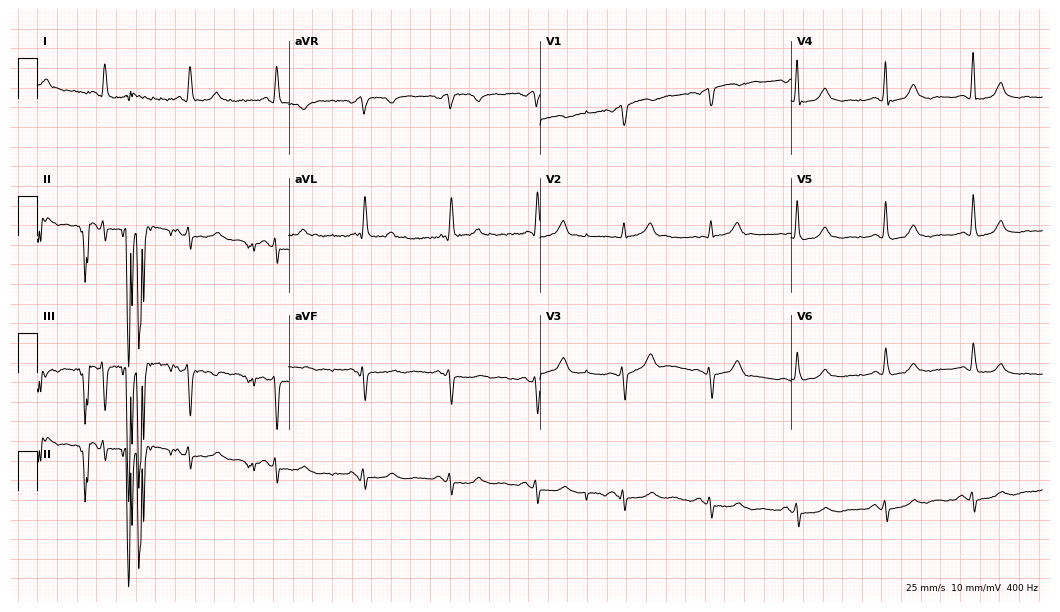
12-lead ECG (10.2-second recording at 400 Hz) from a female patient, 77 years old. Screened for six findings — first-degree AV block, right bundle branch block (RBBB), left bundle branch block (LBBB), sinus bradycardia, atrial fibrillation (AF), sinus tachycardia — none is recorded.